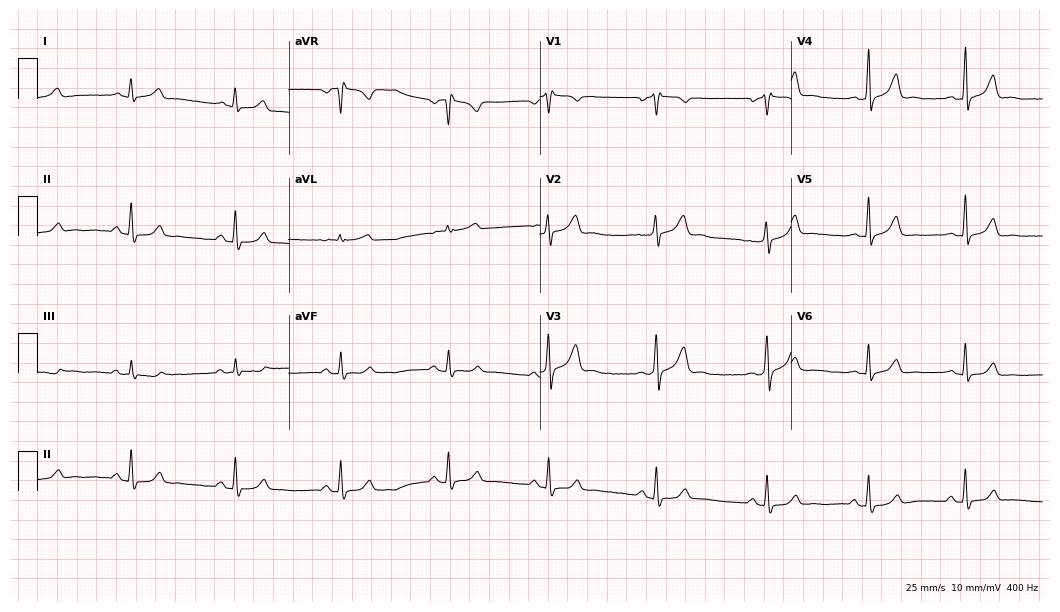
Electrocardiogram (10.2-second recording at 400 Hz), a 37-year-old male. Of the six screened findings (first-degree AV block, right bundle branch block (RBBB), left bundle branch block (LBBB), sinus bradycardia, atrial fibrillation (AF), sinus tachycardia), none is recorded.